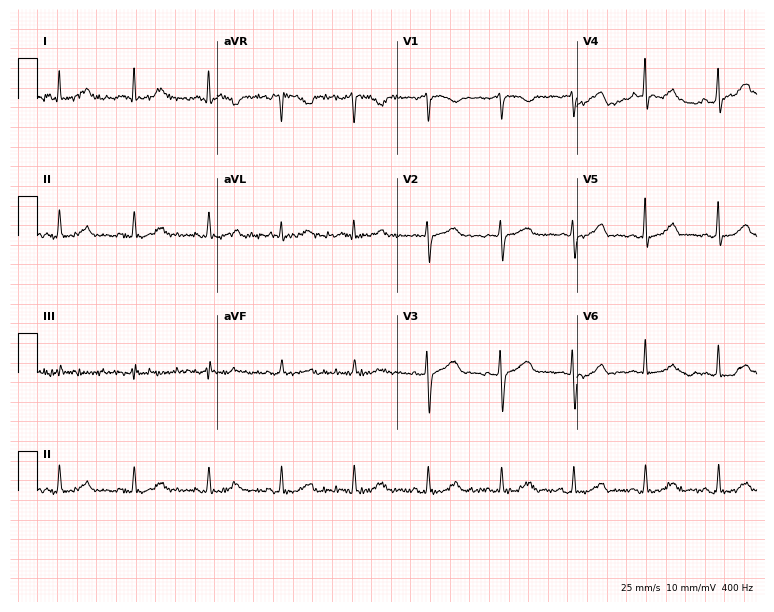
12-lead ECG from a female patient, 49 years old (7.3-second recording at 400 Hz). Recorded interpretation: within normal limits.